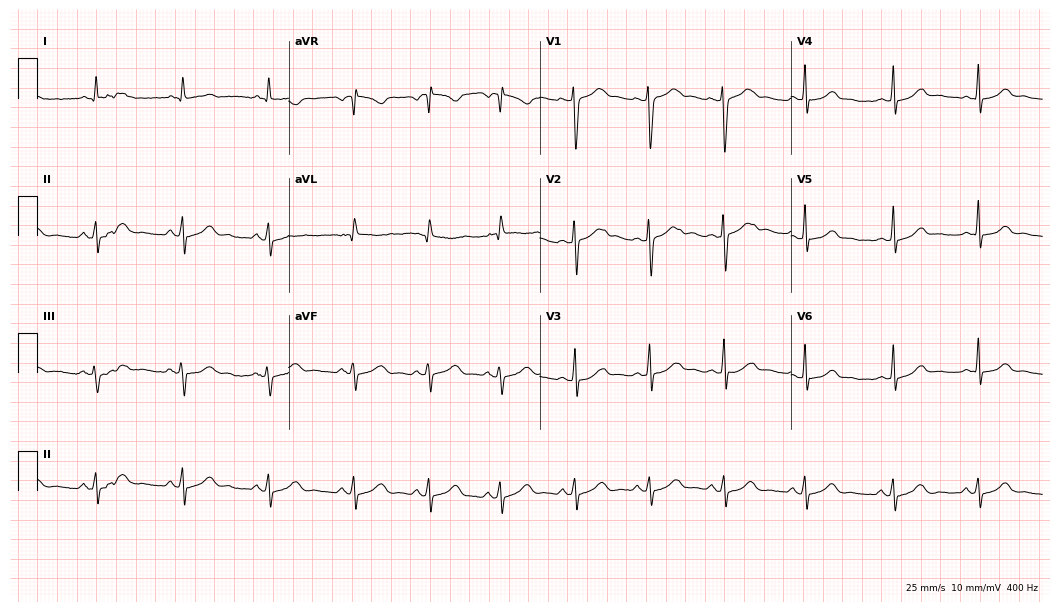
ECG — a female, 33 years old. Labelled as a normal ECG.